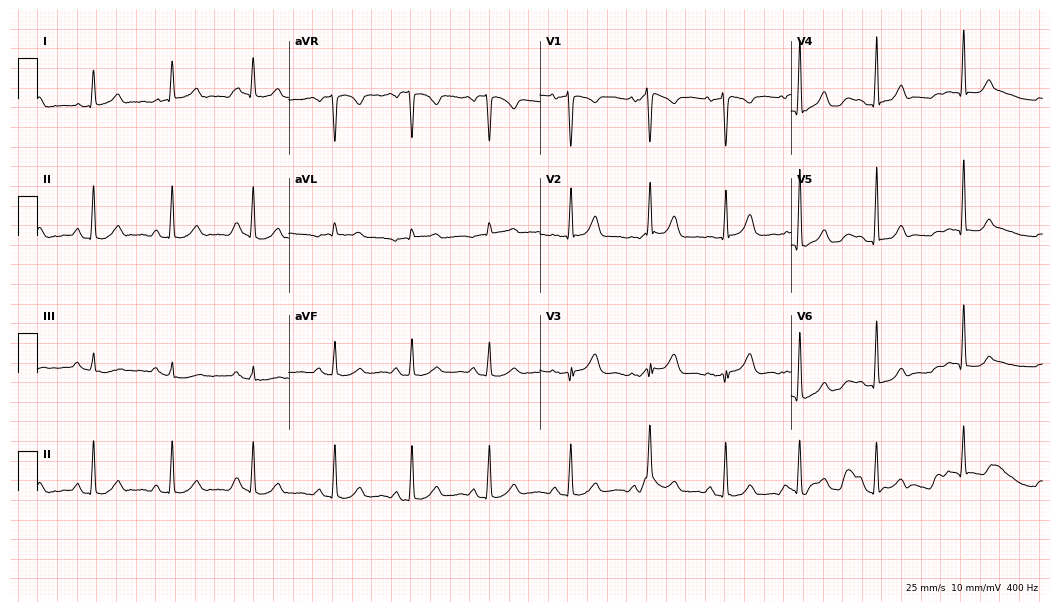
Standard 12-lead ECG recorded from a female, 64 years old (10.2-second recording at 400 Hz). Read as a normal ECG.